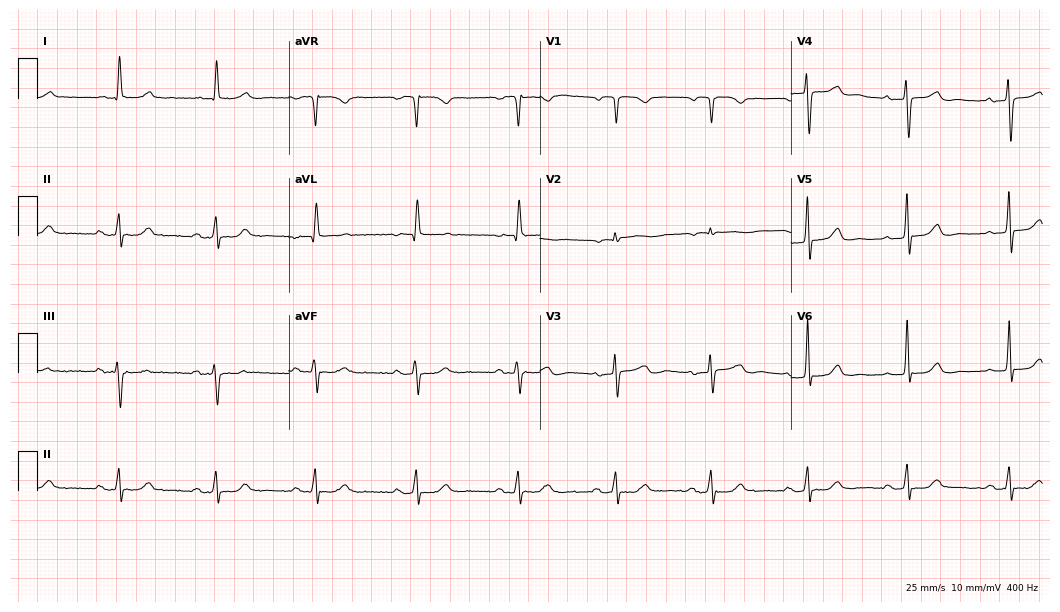
Electrocardiogram (10.2-second recording at 400 Hz), a female patient, 74 years old. Of the six screened findings (first-degree AV block, right bundle branch block, left bundle branch block, sinus bradycardia, atrial fibrillation, sinus tachycardia), none is recorded. Findings outside these six are not listed.